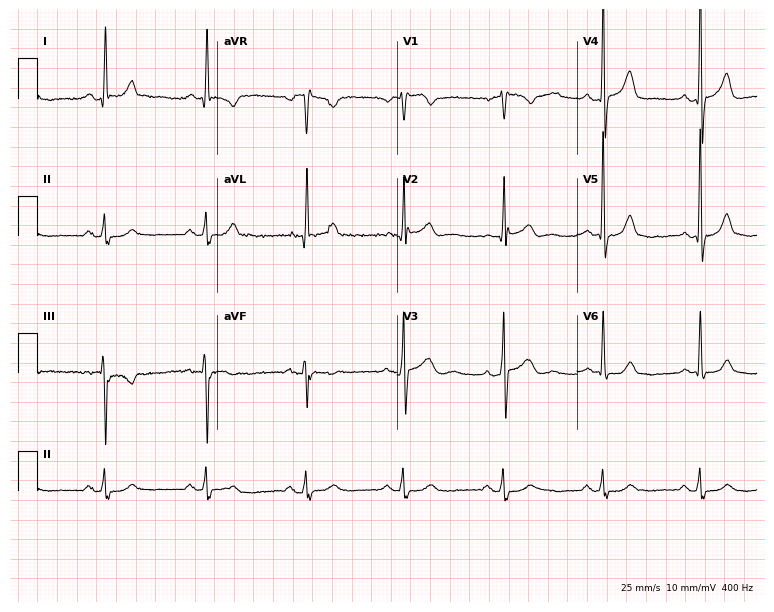
12-lead ECG from a male patient, 70 years old. No first-degree AV block, right bundle branch block, left bundle branch block, sinus bradycardia, atrial fibrillation or sinus tachycardia recorded for this tracing.